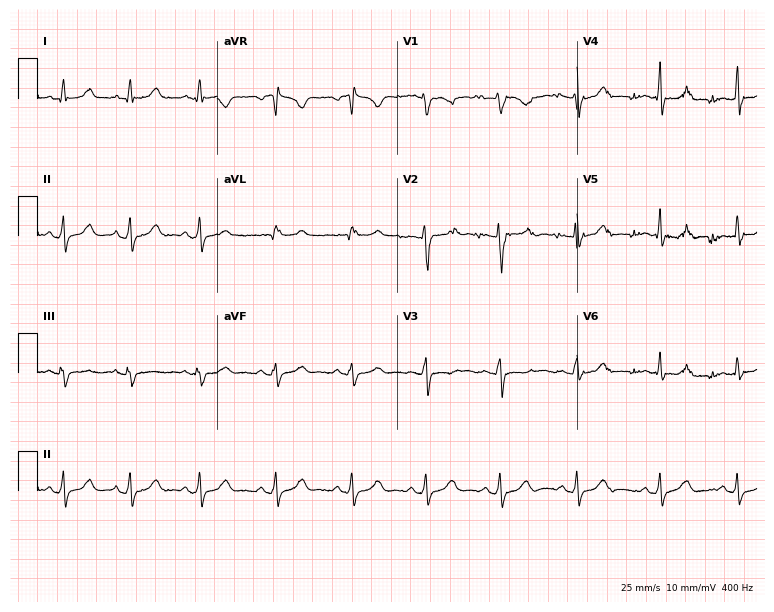
ECG — a female, 18 years old. Labelled as a normal ECG.